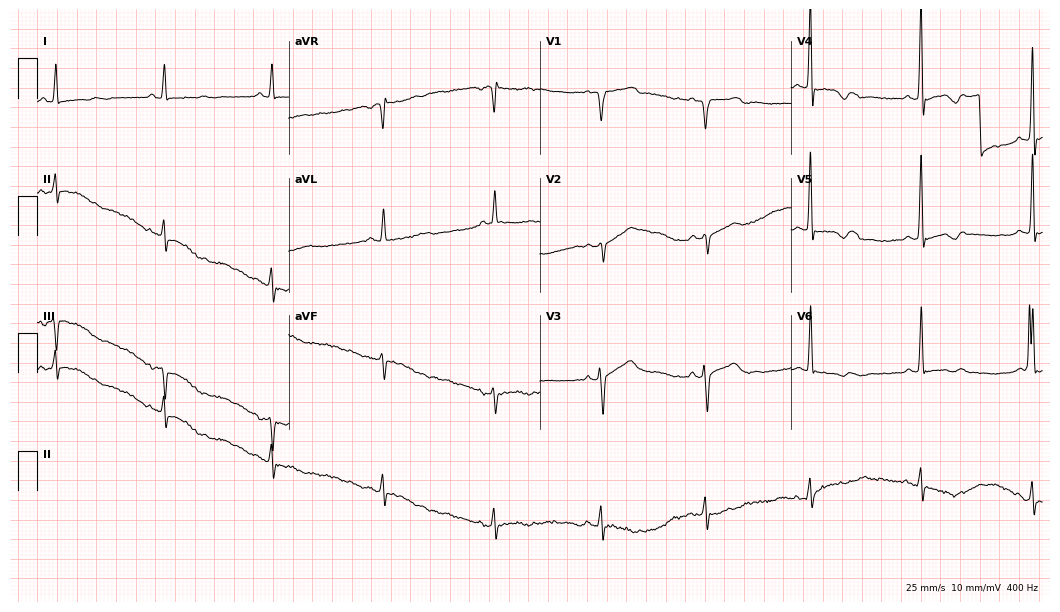
ECG (10.2-second recording at 400 Hz) — a male patient, 62 years old. Screened for six findings — first-degree AV block, right bundle branch block, left bundle branch block, sinus bradycardia, atrial fibrillation, sinus tachycardia — none is recorded. Other findings, if any, are not listed.